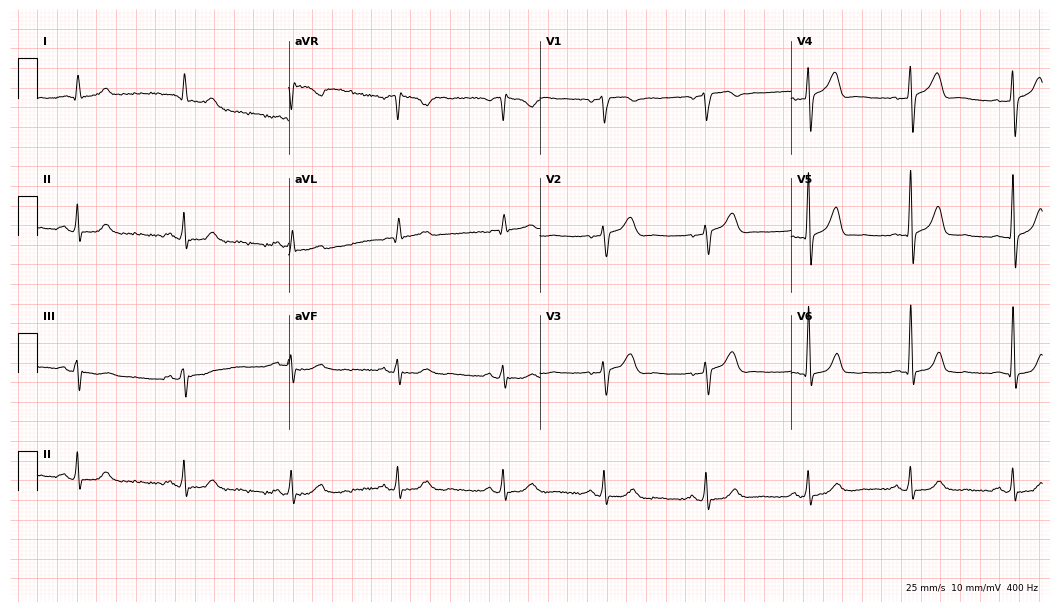
12-lead ECG from a male, 59 years old (10.2-second recording at 400 Hz). Recorded interpretation: within normal limits.